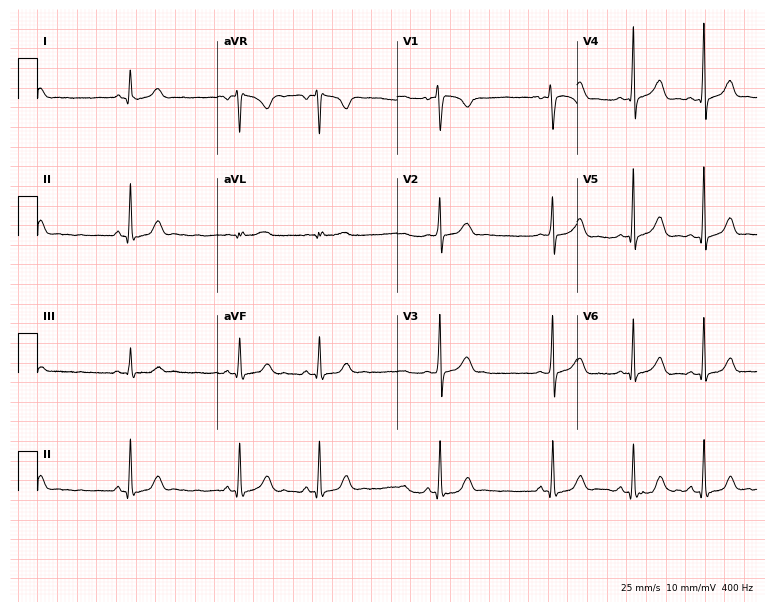
12-lead ECG from a 23-year-old female (7.3-second recording at 400 Hz). Recorded interpretation: within normal limits.